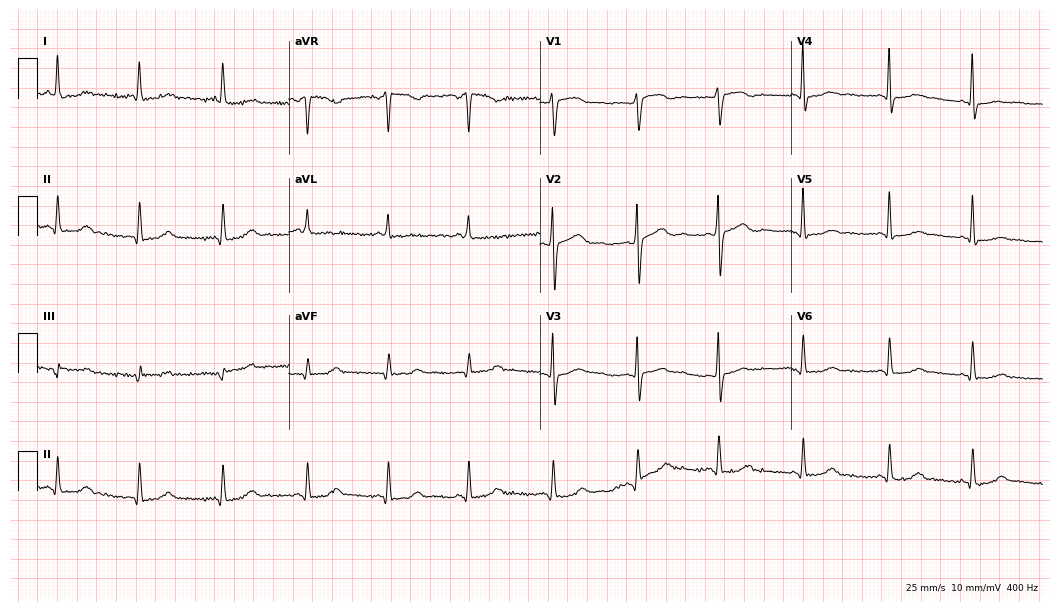
12-lead ECG from a female patient, 54 years old. Screened for six findings — first-degree AV block, right bundle branch block (RBBB), left bundle branch block (LBBB), sinus bradycardia, atrial fibrillation (AF), sinus tachycardia — none is recorded. Findings outside these six are not listed.